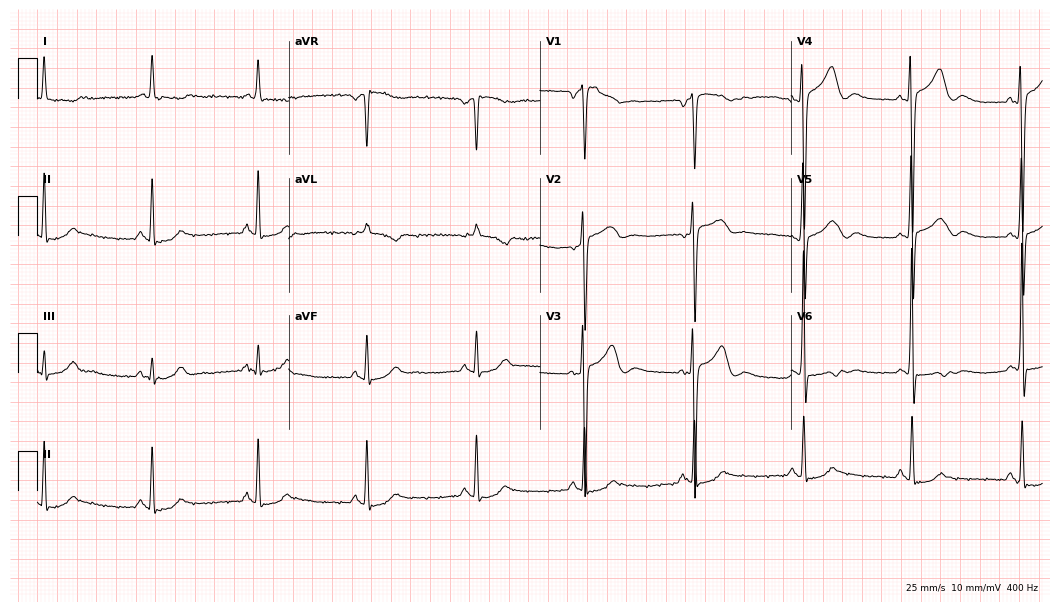
Electrocardiogram (10.2-second recording at 400 Hz), a 71-year-old man. Of the six screened findings (first-degree AV block, right bundle branch block (RBBB), left bundle branch block (LBBB), sinus bradycardia, atrial fibrillation (AF), sinus tachycardia), none is recorded. Findings outside these six are not listed.